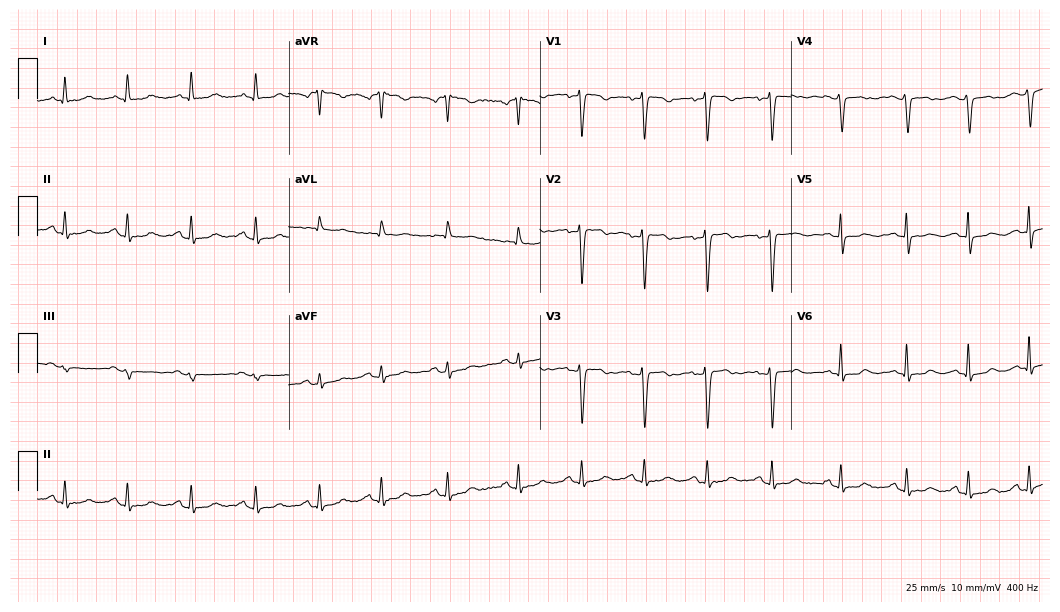
12-lead ECG (10.2-second recording at 400 Hz) from a 46-year-old female. Screened for six findings — first-degree AV block, right bundle branch block, left bundle branch block, sinus bradycardia, atrial fibrillation, sinus tachycardia — none is recorded.